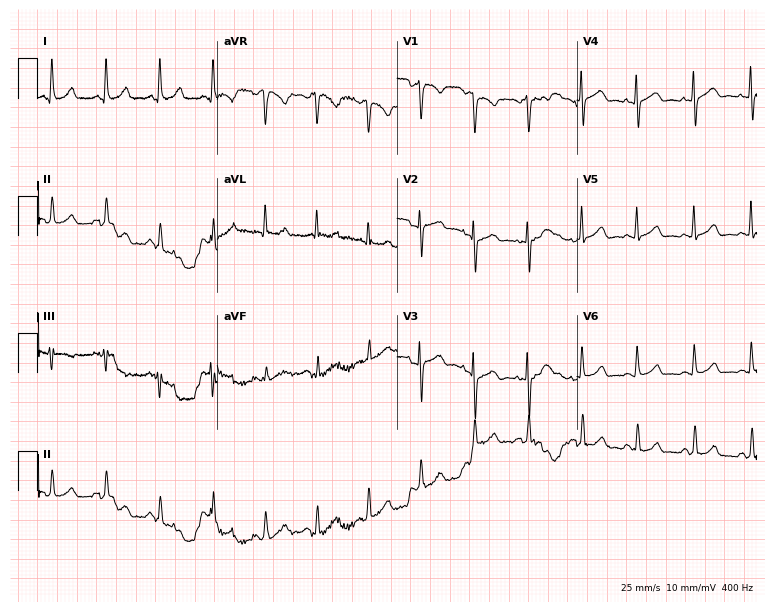
12-lead ECG from a woman, 41 years old. Findings include sinus tachycardia (a sinus rate of 100 beats per minute or more).